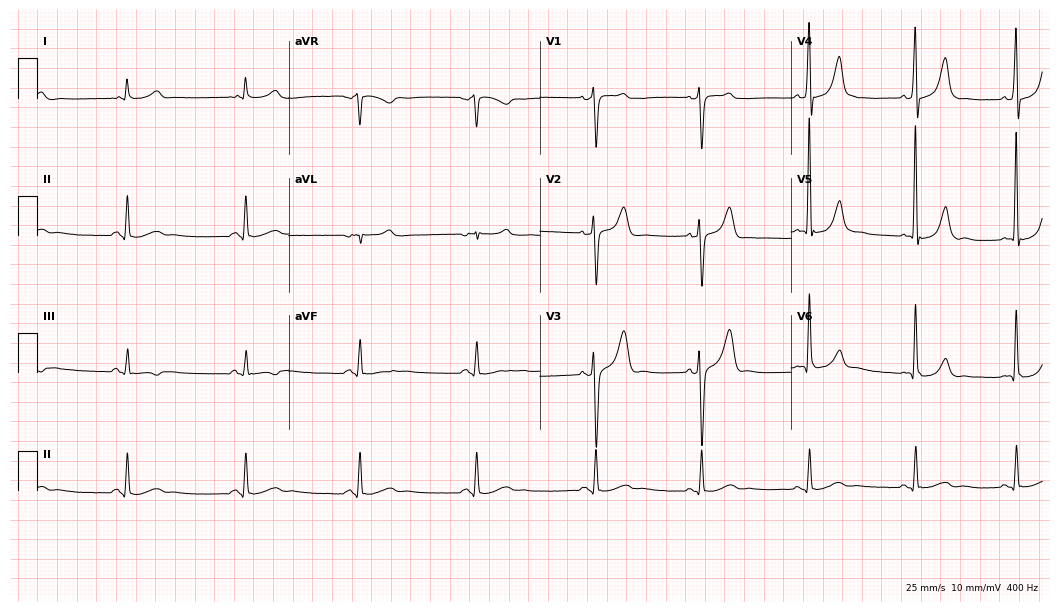
12-lead ECG from a man, 56 years old (10.2-second recording at 400 Hz). Recorded interpretation: within normal limits.